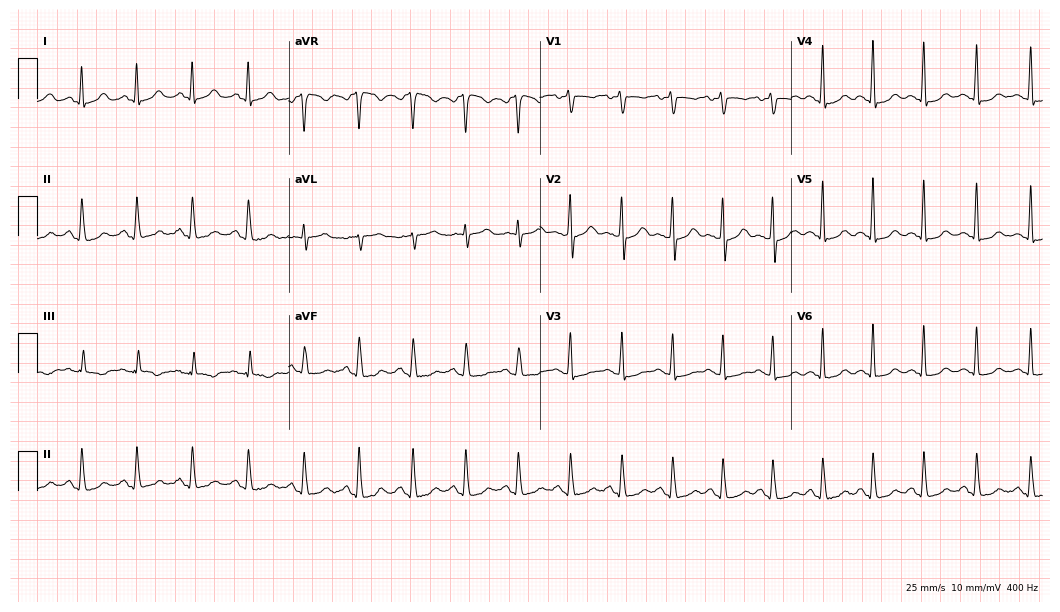
12-lead ECG (10.2-second recording at 400 Hz) from a female, 44 years old. Findings include sinus tachycardia (a sinus rate of 100 beats per minute or more).